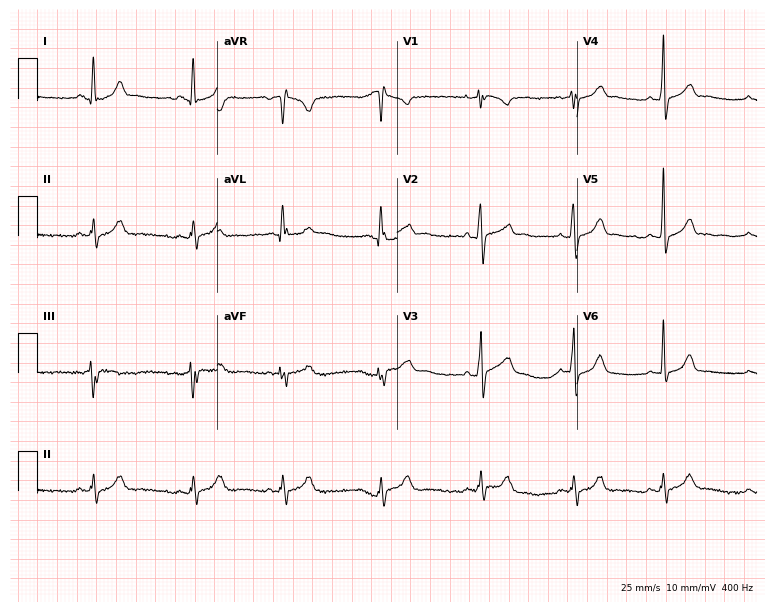
Electrocardiogram (7.3-second recording at 400 Hz), a 24-year-old woman. Overall reading on record: normal ECG.